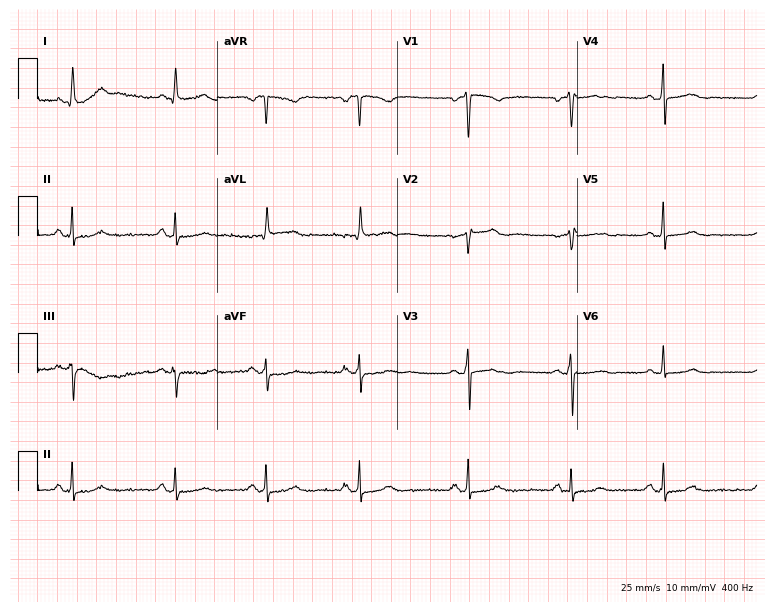
12-lead ECG from a 50-year-old woman (7.3-second recording at 400 Hz). Recorded interpretation: within normal limits.